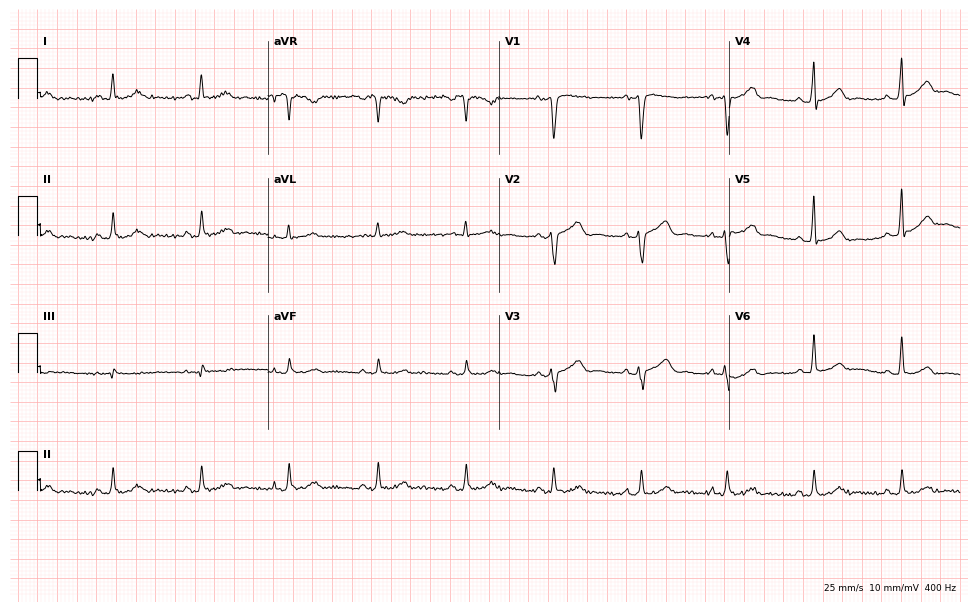
Standard 12-lead ECG recorded from a female, 59 years old (9.4-second recording at 400 Hz). Read as a normal ECG.